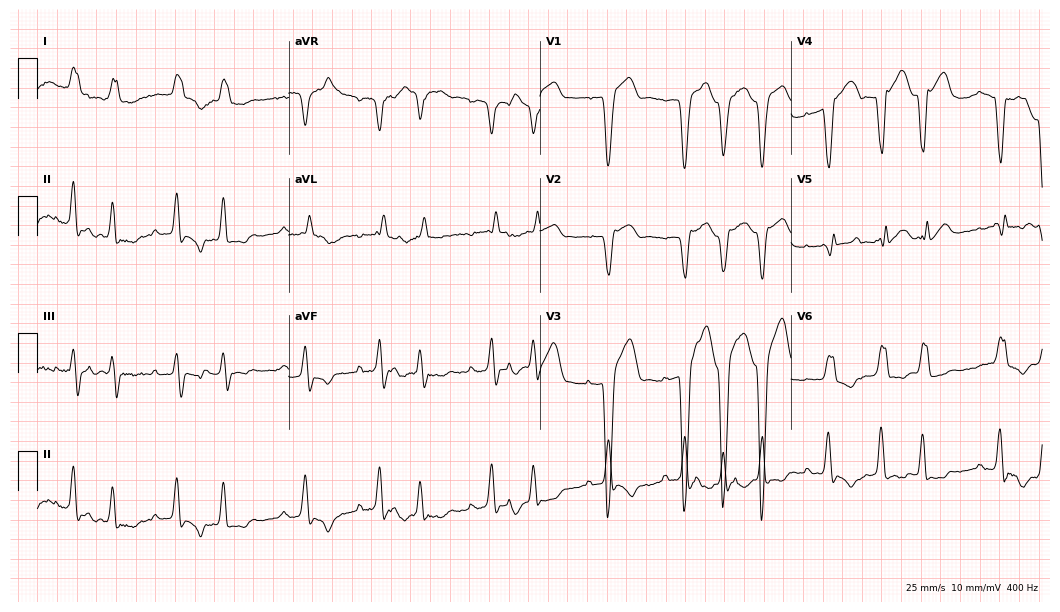
12-lead ECG from a man, 73 years old. Findings include left bundle branch block.